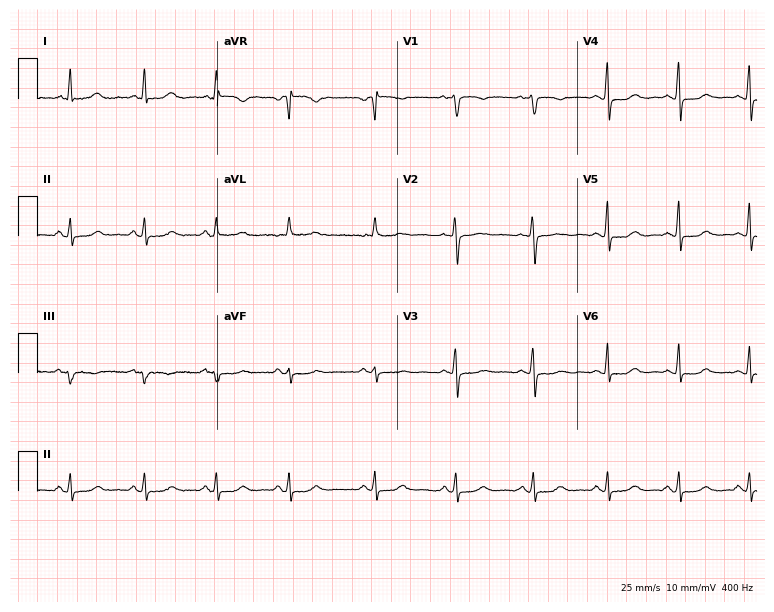
ECG — a 58-year-old female. Labelled as a normal ECG.